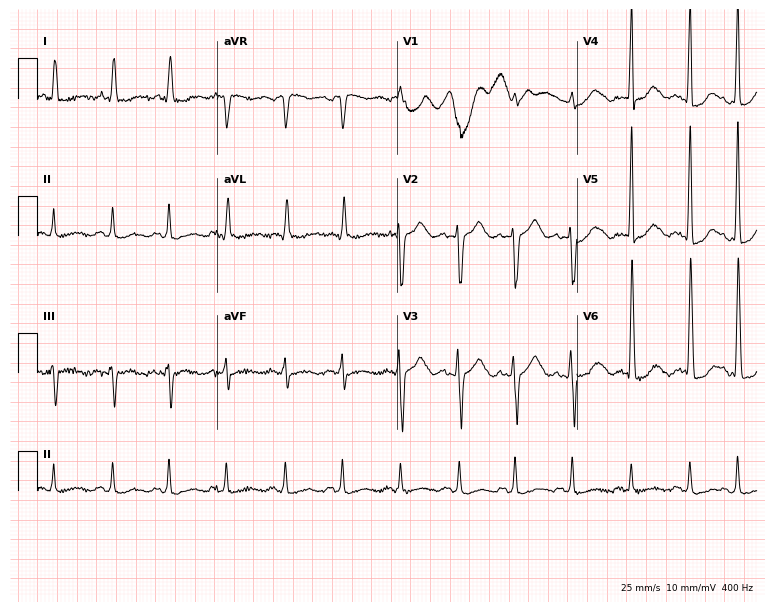
ECG (7.3-second recording at 400 Hz) — a male patient, 72 years old. Findings include sinus tachycardia (a sinus rate of 100 beats per minute or more).